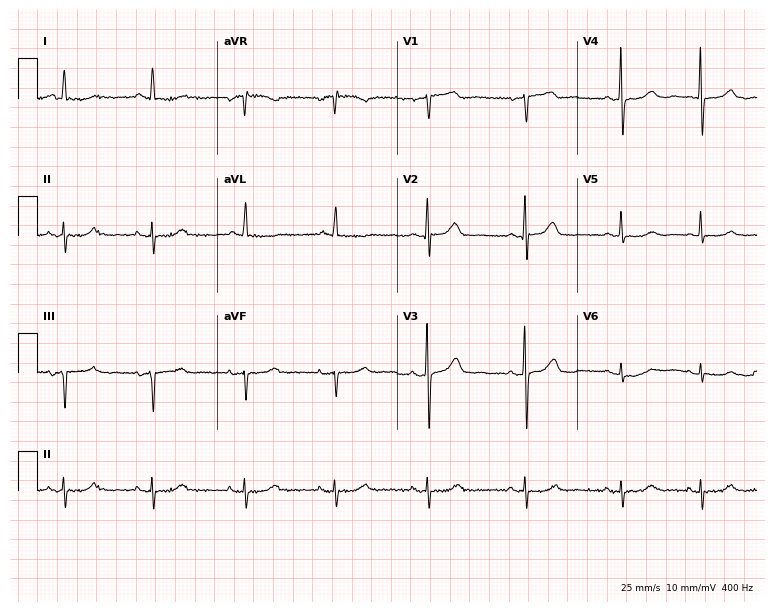
Resting 12-lead electrocardiogram. Patient: a 73-year-old female. None of these six findings is recorded: first-degree AV block, right bundle branch block, left bundle branch block, sinus bradycardia, atrial fibrillation, sinus tachycardia.